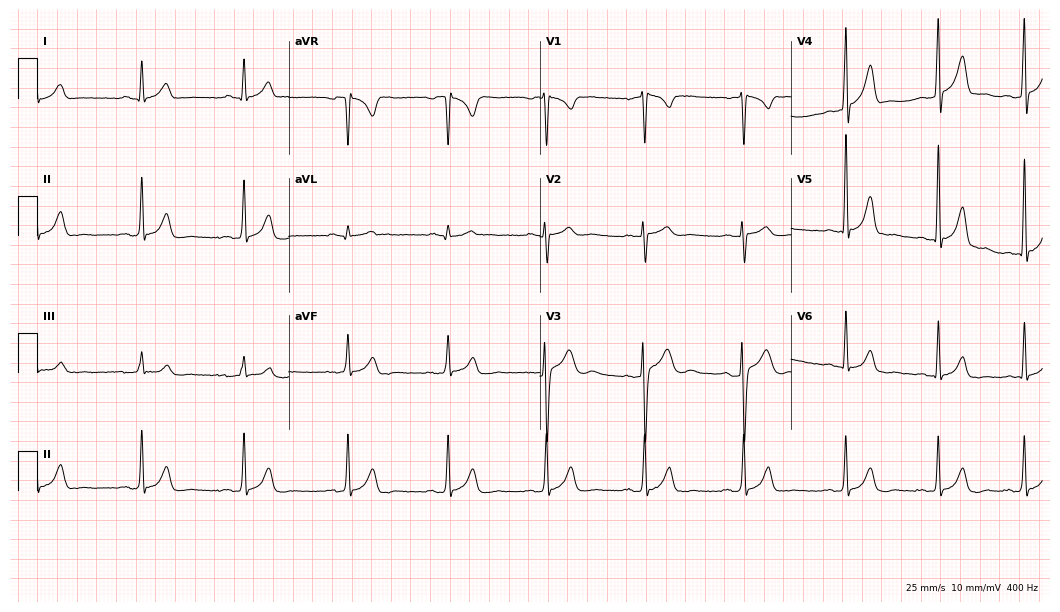
12-lead ECG from a male, 19 years old. Labelled as a normal ECG.